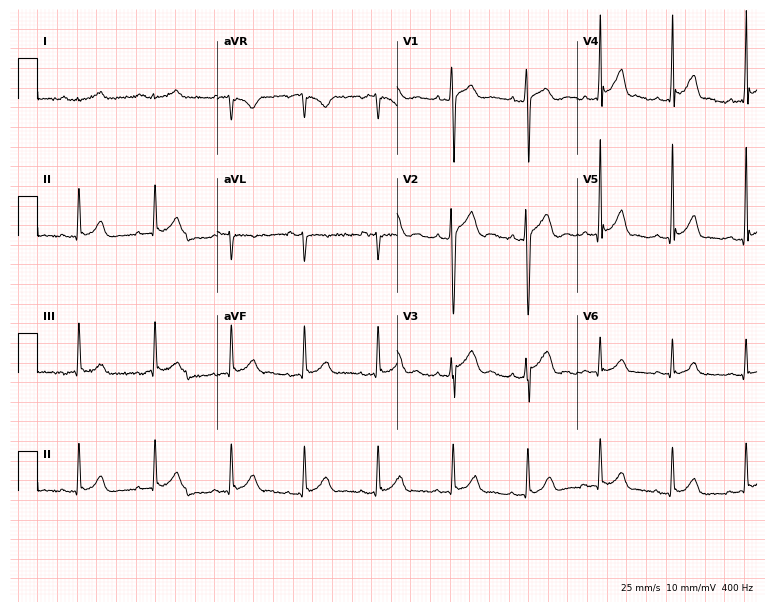
Electrocardiogram (7.3-second recording at 400 Hz), a male, 17 years old. Overall reading on record: normal ECG.